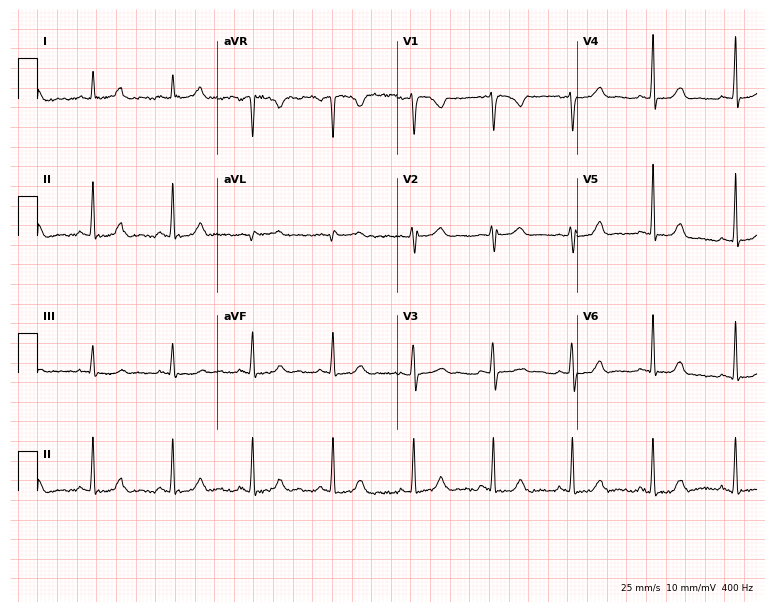
12-lead ECG from a 26-year-old female patient. Recorded interpretation: within normal limits.